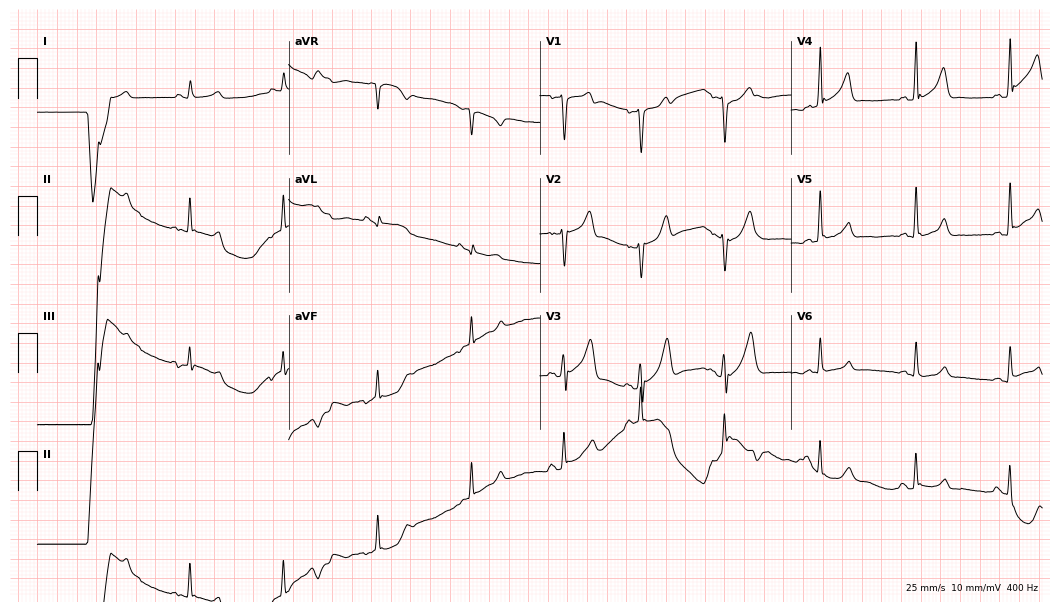
Resting 12-lead electrocardiogram. Patient: a male, 55 years old. Read as a normal ECG.